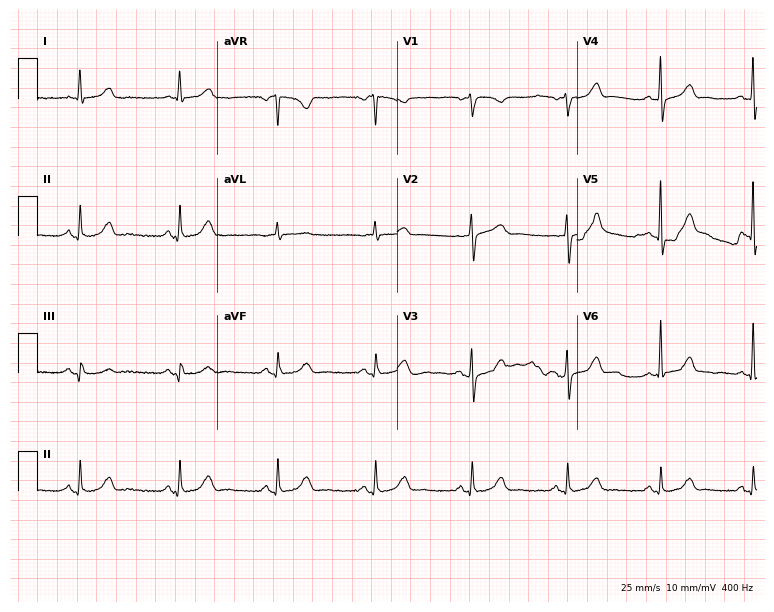
Electrocardiogram, a 68-year-old female. Of the six screened findings (first-degree AV block, right bundle branch block, left bundle branch block, sinus bradycardia, atrial fibrillation, sinus tachycardia), none is recorded. Other findings, if any, are not listed.